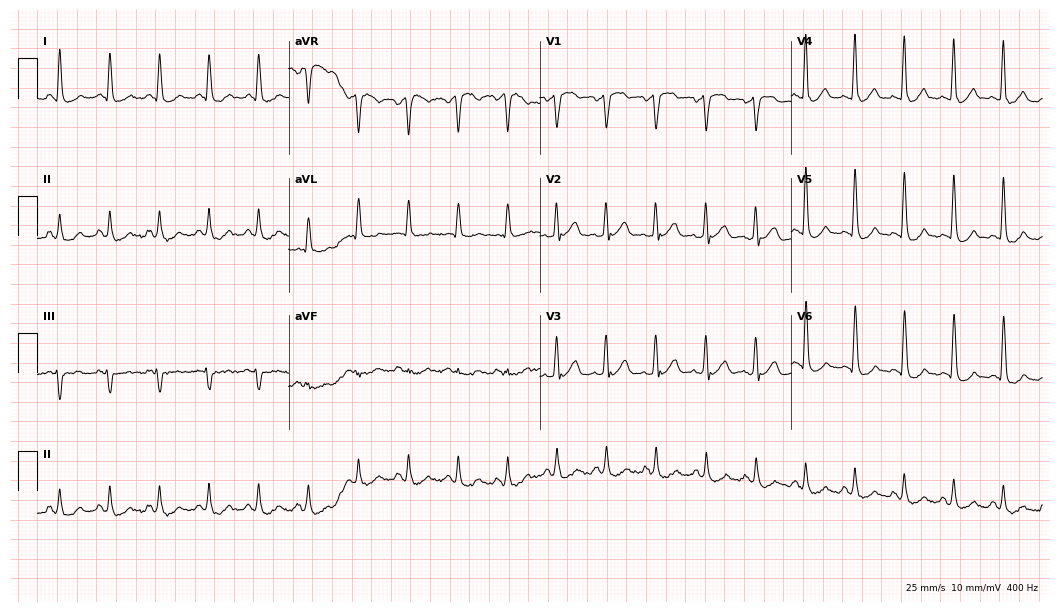
ECG — a man, 67 years old. Findings include sinus tachycardia (a sinus rate of 100 beats per minute or more).